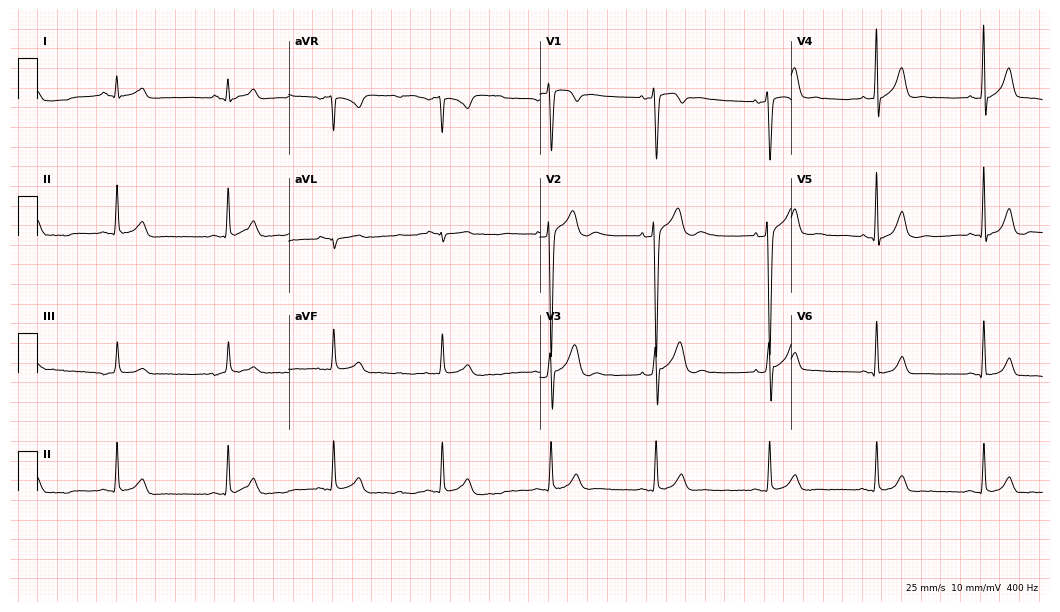
ECG — a 21-year-old male. Screened for six findings — first-degree AV block, right bundle branch block, left bundle branch block, sinus bradycardia, atrial fibrillation, sinus tachycardia — none is recorded. Only these six findings were labelled.